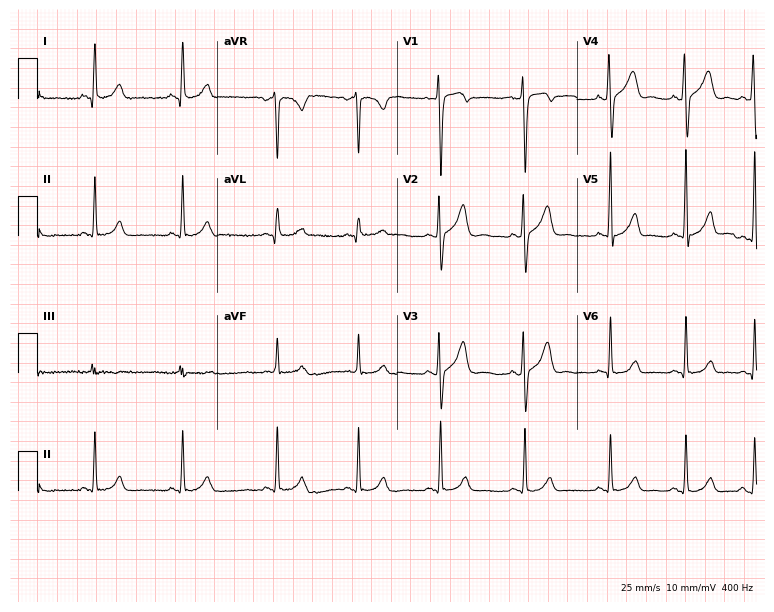
12-lead ECG (7.3-second recording at 400 Hz) from a woman, 22 years old. Labelled as a normal ECG.